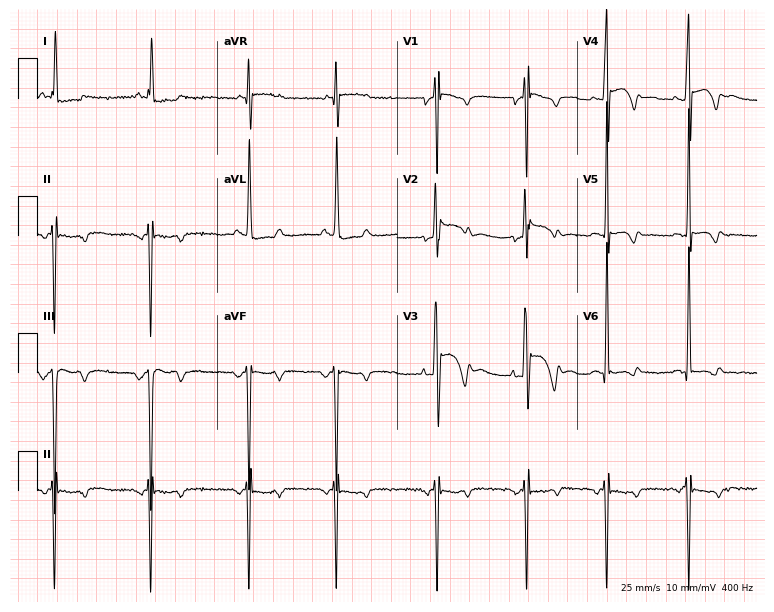
Electrocardiogram, a 23-year-old female. Of the six screened findings (first-degree AV block, right bundle branch block, left bundle branch block, sinus bradycardia, atrial fibrillation, sinus tachycardia), none is recorded. Findings outside these six are not listed.